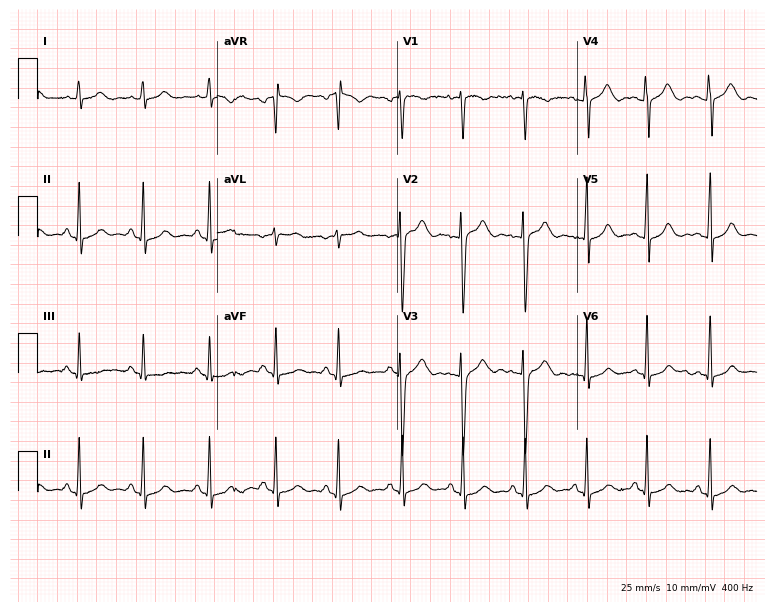
12-lead ECG from a 35-year-old woman (7.3-second recording at 400 Hz). Recorded interpretation: within normal limits.